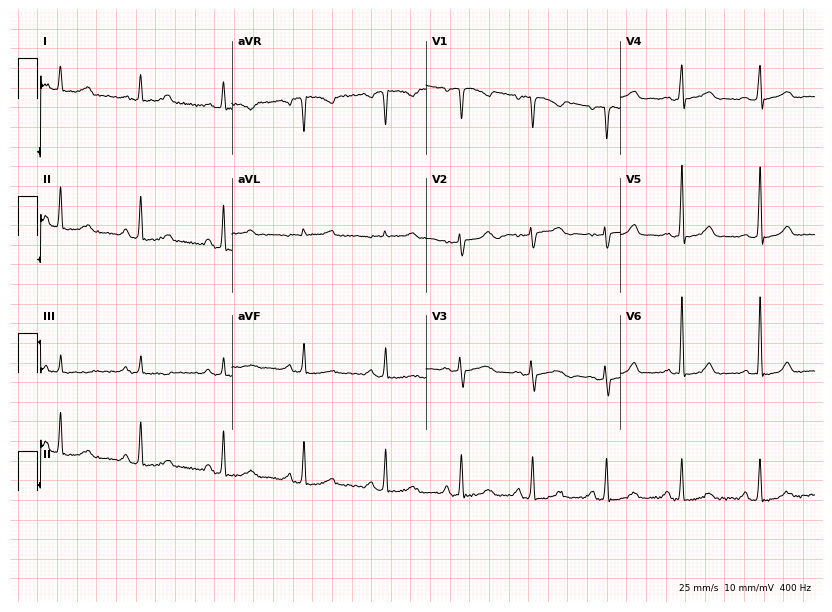
12-lead ECG from a female patient, 37 years old (7.9-second recording at 400 Hz). No first-degree AV block, right bundle branch block (RBBB), left bundle branch block (LBBB), sinus bradycardia, atrial fibrillation (AF) or sinus tachycardia recorded for this tracing.